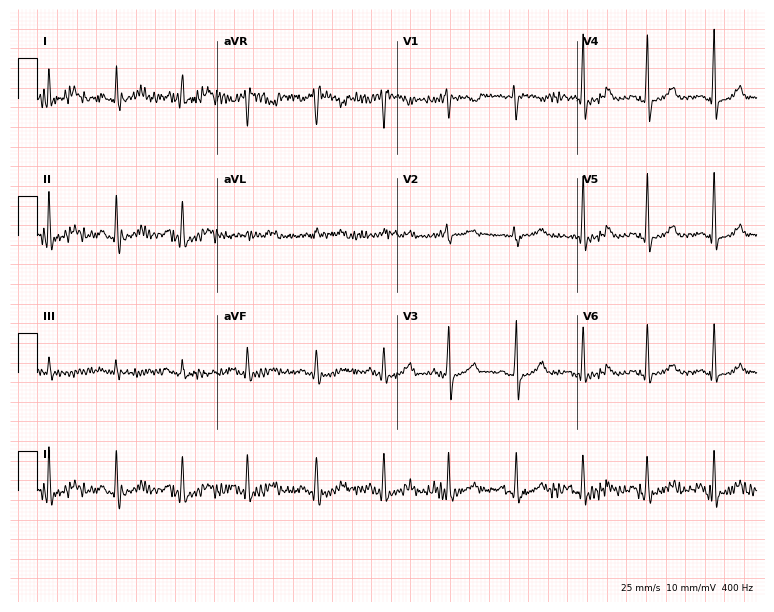
12-lead ECG (7.3-second recording at 400 Hz) from a 51-year-old female patient. Screened for six findings — first-degree AV block, right bundle branch block (RBBB), left bundle branch block (LBBB), sinus bradycardia, atrial fibrillation (AF), sinus tachycardia — none is recorded.